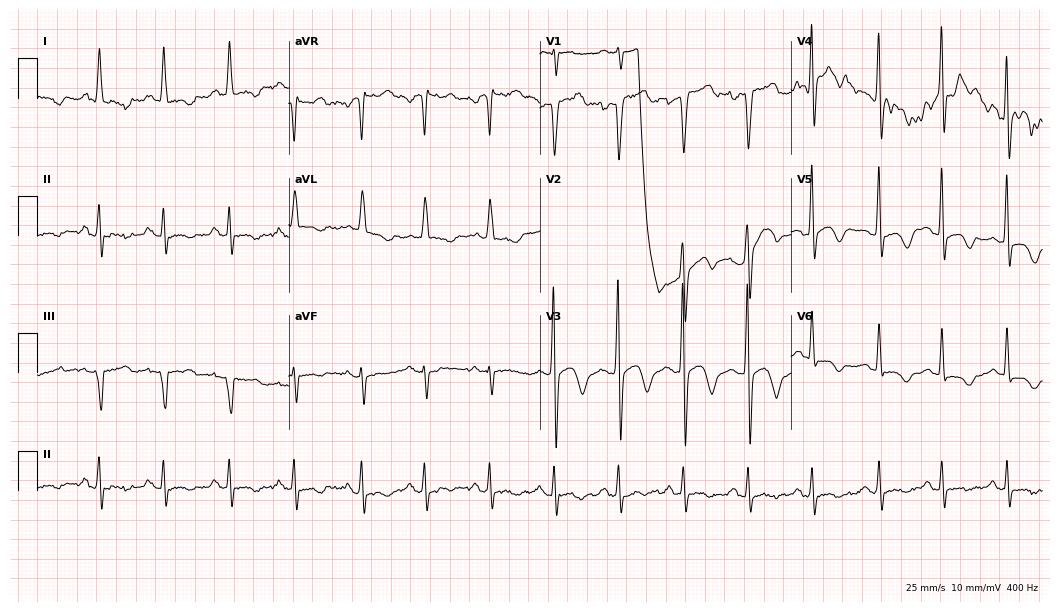
ECG (10.2-second recording at 400 Hz) — a 65-year-old male patient. Screened for six findings — first-degree AV block, right bundle branch block (RBBB), left bundle branch block (LBBB), sinus bradycardia, atrial fibrillation (AF), sinus tachycardia — none is recorded. Only these six findings were labelled.